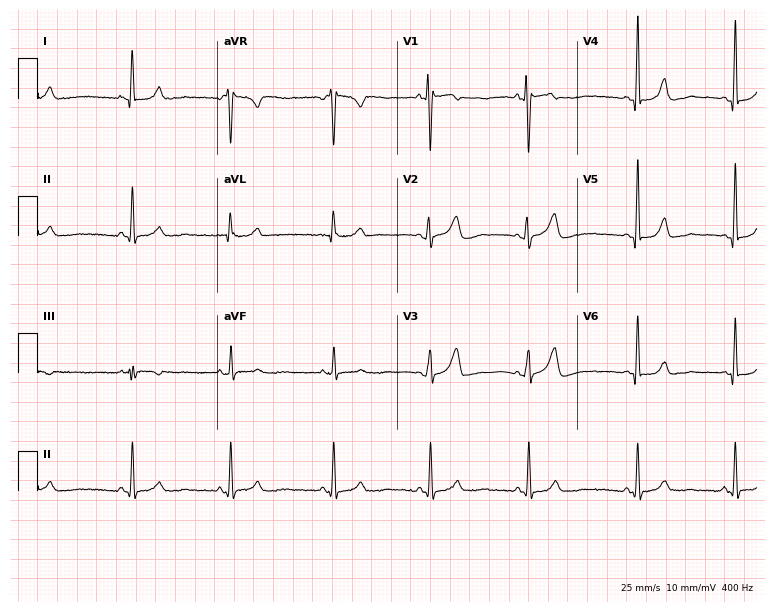
Resting 12-lead electrocardiogram (7.3-second recording at 400 Hz). Patient: a female, 37 years old. Read as a normal ECG.